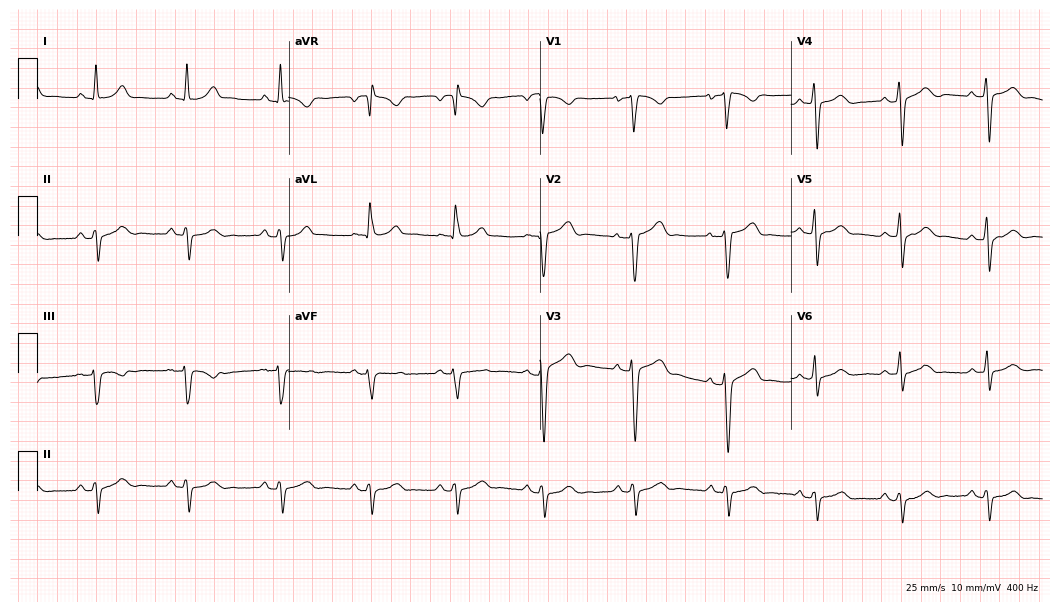
12-lead ECG from a male patient, 39 years old (10.2-second recording at 400 Hz). No first-degree AV block, right bundle branch block (RBBB), left bundle branch block (LBBB), sinus bradycardia, atrial fibrillation (AF) or sinus tachycardia recorded for this tracing.